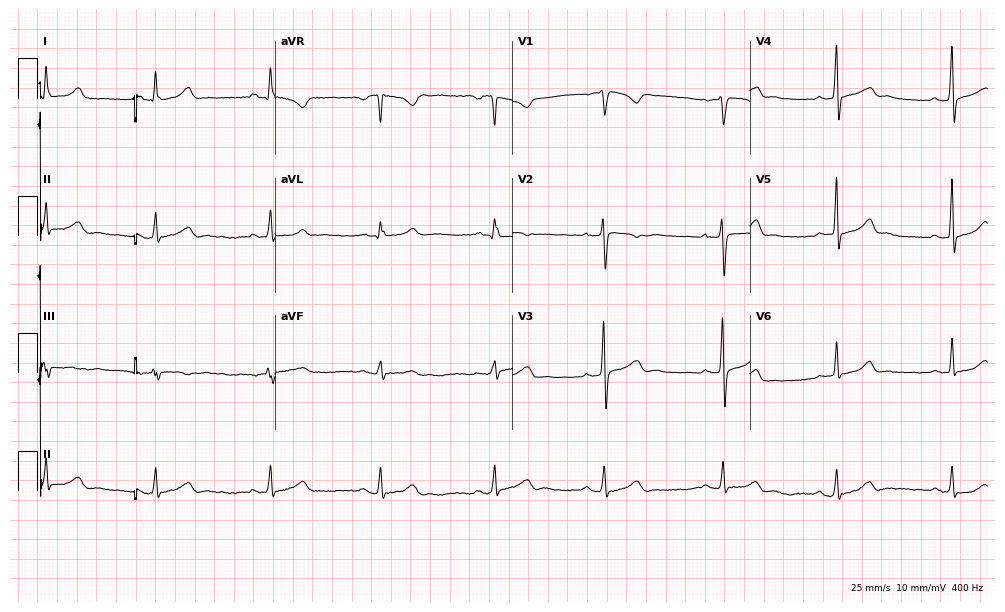
12-lead ECG from a 35-year-old female patient. No first-degree AV block, right bundle branch block, left bundle branch block, sinus bradycardia, atrial fibrillation or sinus tachycardia recorded for this tracing.